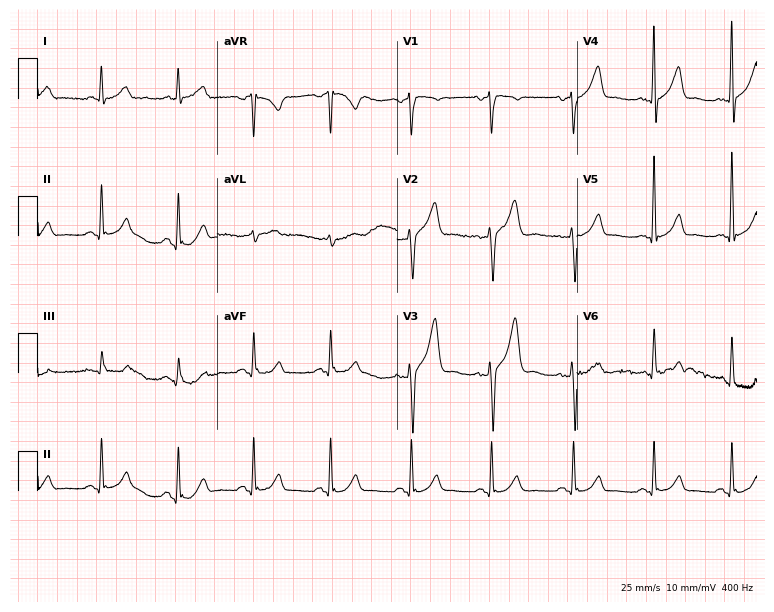
12-lead ECG (7.3-second recording at 400 Hz) from a male patient, 52 years old. Labelled as a normal ECG.